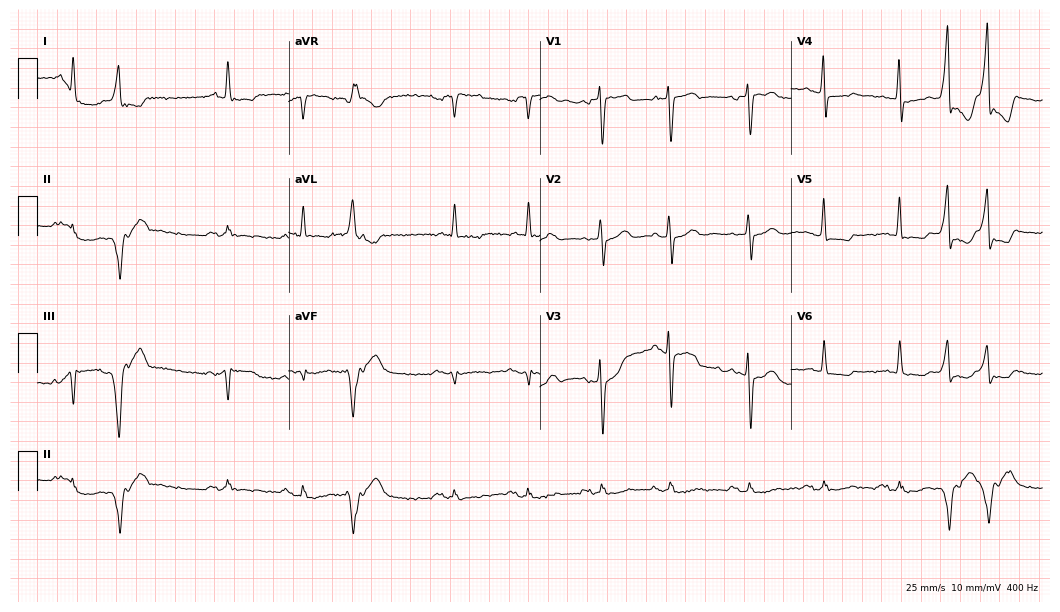
Resting 12-lead electrocardiogram (10.2-second recording at 400 Hz). Patient: a man, 77 years old. None of these six findings is recorded: first-degree AV block, right bundle branch block, left bundle branch block, sinus bradycardia, atrial fibrillation, sinus tachycardia. Other findings, if any, are not listed.